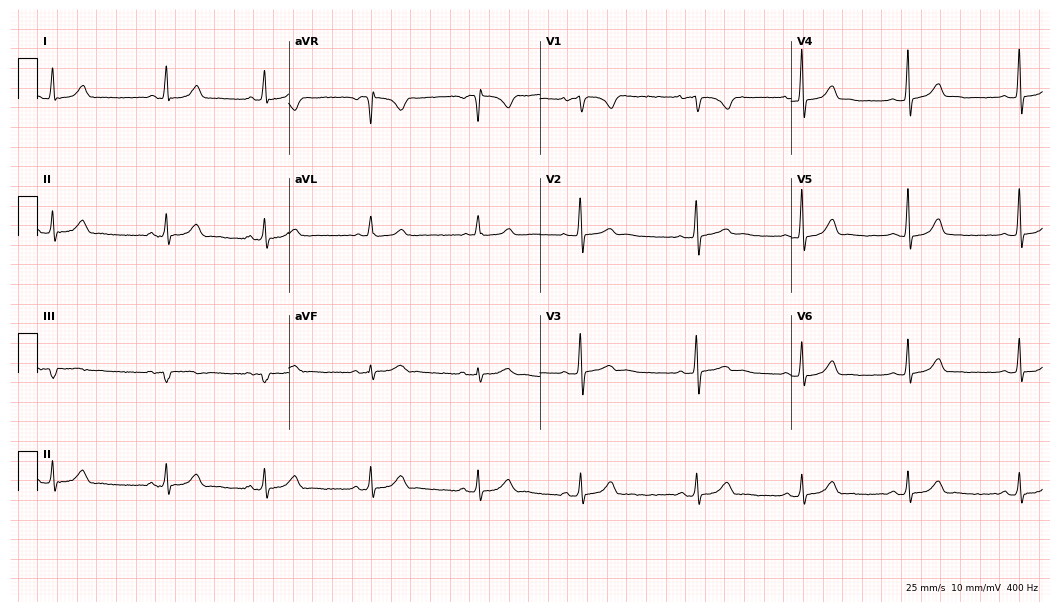
12-lead ECG from a woman, 32 years old (10.2-second recording at 400 Hz). No first-degree AV block, right bundle branch block (RBBB), left bundle branch block (LBBB), sinus bradycardia, atrial fibrillation (AF) or sinus tachycardia recorded for this tracing. Only these six findings were labelled.